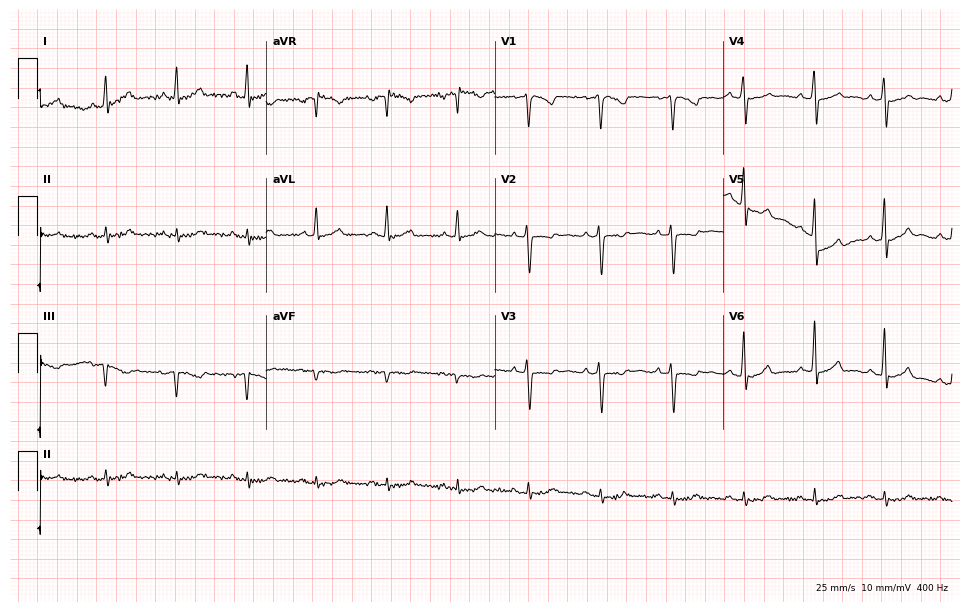
Resting 12-lead electrocardiogram (9.3-second recording at 400 Hz). Patient: a male, 44 years old. None of these six findings is recorded: first-degree AV block, right bundle branch block, left bundle branch block, sinus bradycardia, atrial fibrillation, sinus tachycardia.